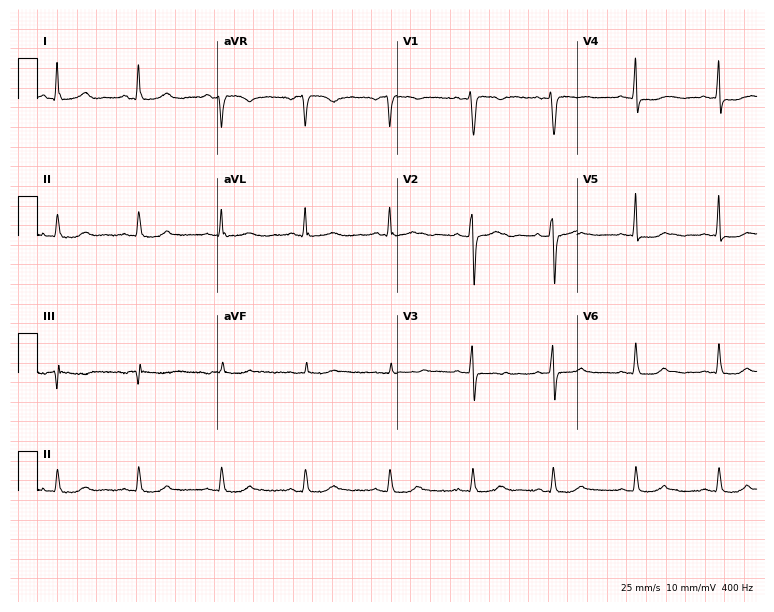
12-lead ECG (7.3-second recording at 400 Hz) from a 49-year-old woman. Screened for six findings — first-degree AV block, right bundle branch block, left bundle branch block, sinus bradycardia, atrial fibrillation, sinus tachycardia — none is recorded. Only these six findings were labelled.